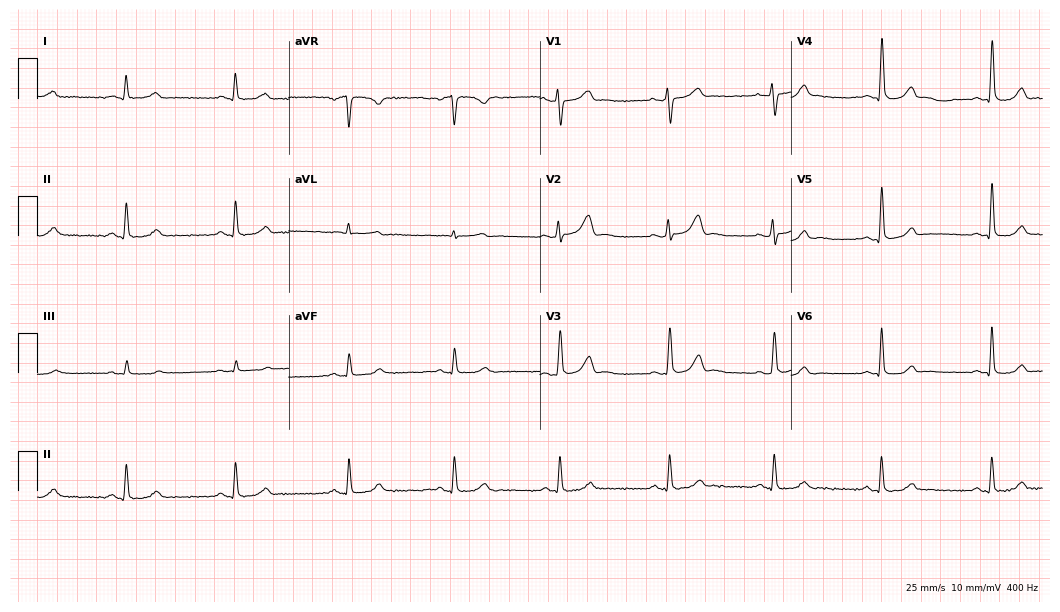
Resting 12-lead electrocardiogram (10.2-second recording at 400 Hz). Patient: a 46-year-old female. Read as a normal ECG.